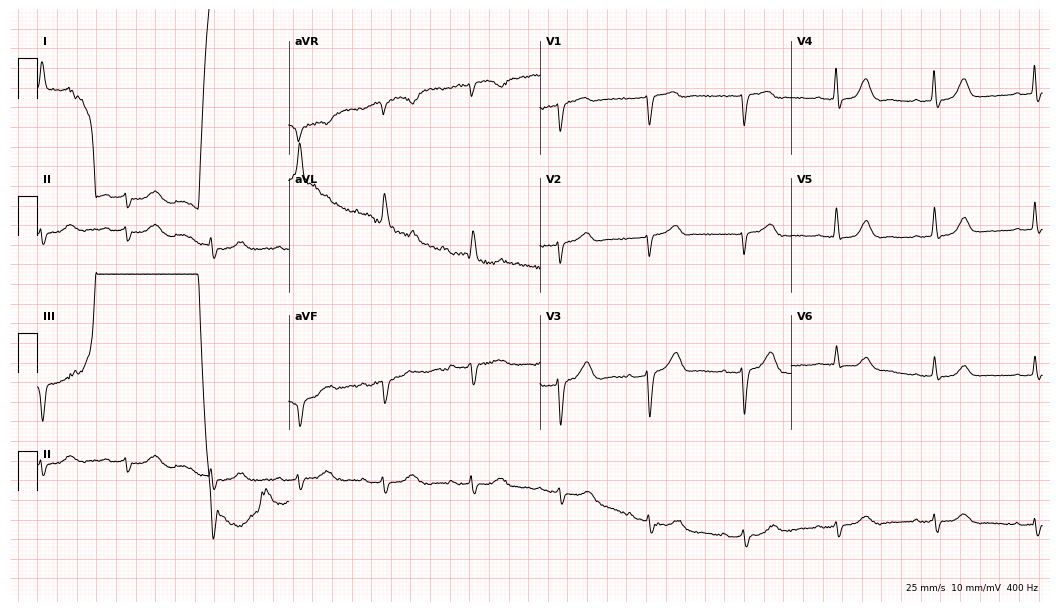
Electrocardiogram (10.2-second recording at 400 Hz), a female patient, 82 years old. Of the six screened findings (first-degree AV block, right bundle branch block (RBBB), left bundle branch block (LBBB), sinus bradycardia, atrial fibrillation (AF), sinus tachycardia), none is recorded.